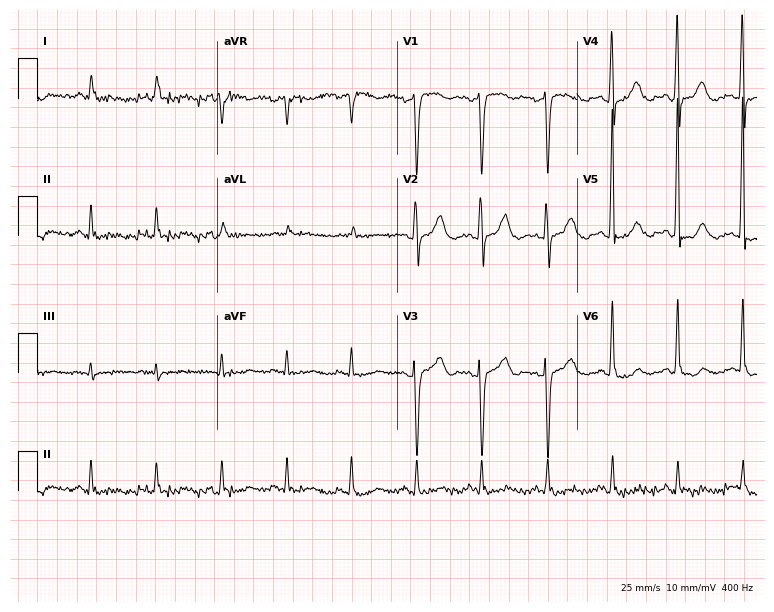
Standard 12-lead ECG recorded from a male patient, 73 years old (7.3-second recording at 400 Hz). None of these six findings is recorded: first-degree AV block, right bundle branch block, left bundle branch block, sinus bradycardia, atrial fibrillation, sinus tachycardia. Findings outside these six are not listed.